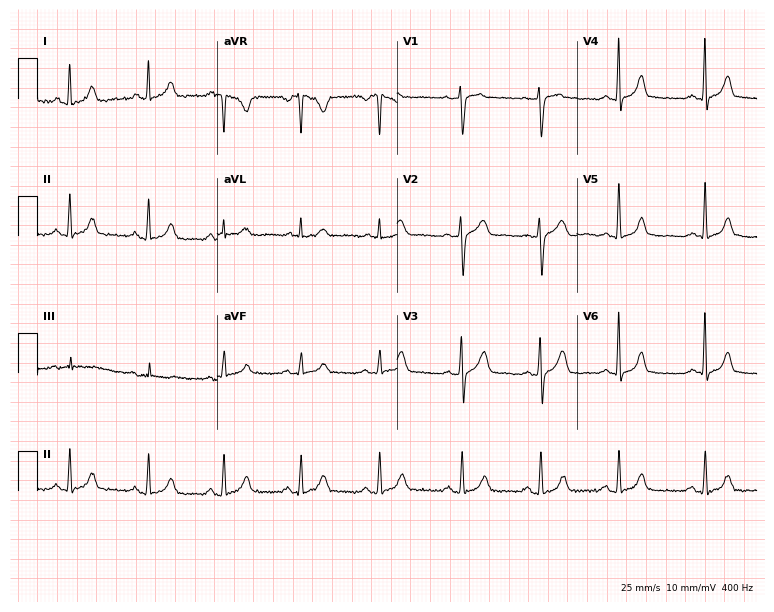
12-lead ECG from a 40-year-old female patient. Labelled as a normal ECG.